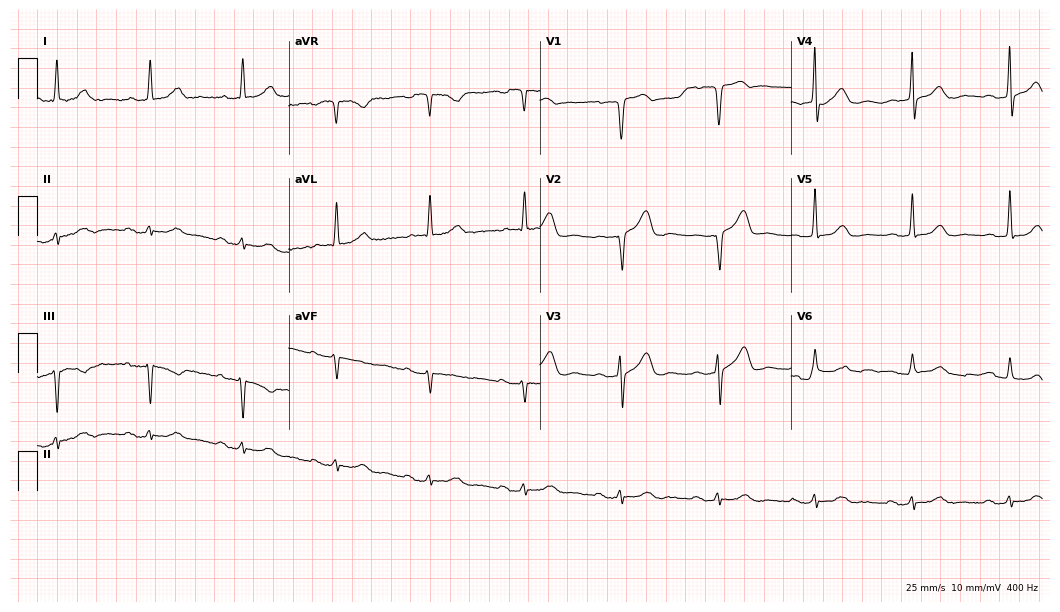
Resting 12-lead electrocardiogram. Patient: an 81-year-old male. Read as a normal ECG.